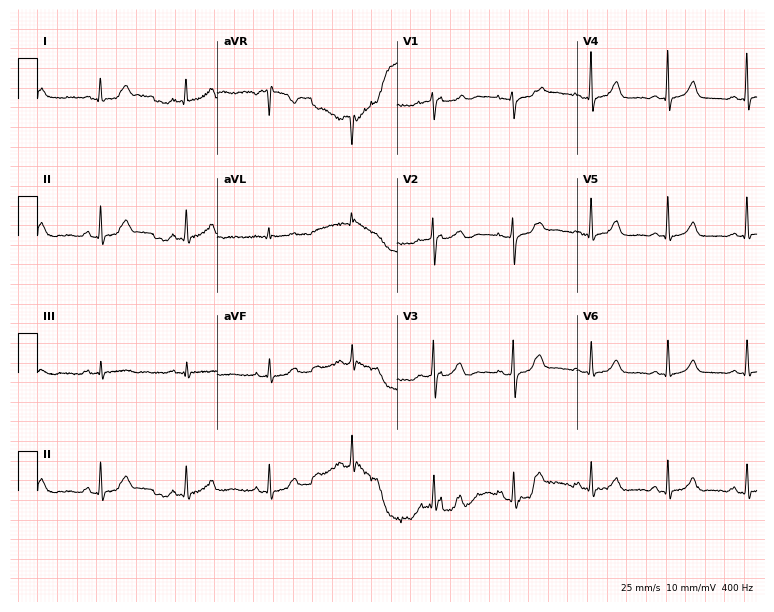
Standard 12-lead ECG recorded from a 38-year-old female patient (7.3-second recording at 400 Hz). None of these six findings is recorded: first-degree AV block, right bundle branch block, left bundle branch block, sinus bradycardia, atrial fibrillation, sinus tachycardia.